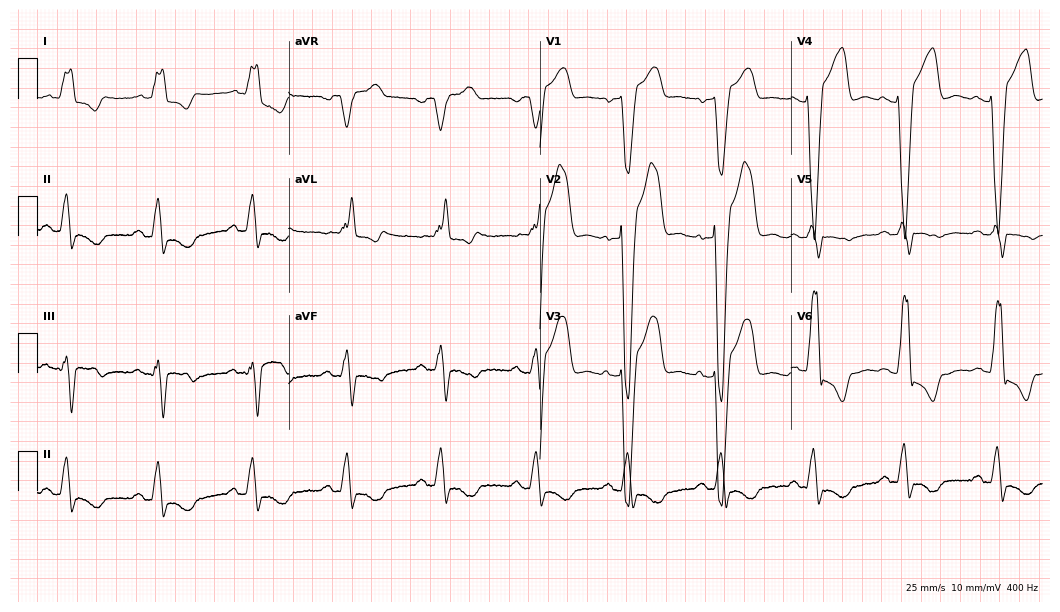
12-lead ECG from a male, 63 years old. Findings include left bundle branch block.